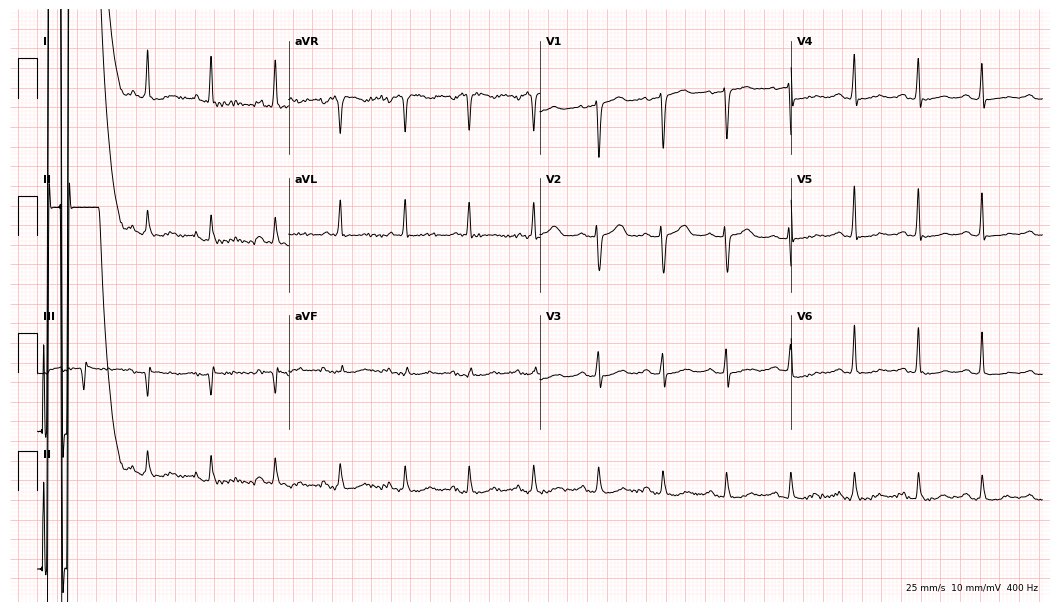
ECG — a woman, 85 years old. Screened for six findings — first-degree AV block, right bundle branch block, left bundle branch block, sinus bradycardia, atrial fibrillation, sinus tachycardia — none is recorded. Only these six findings were labelled.